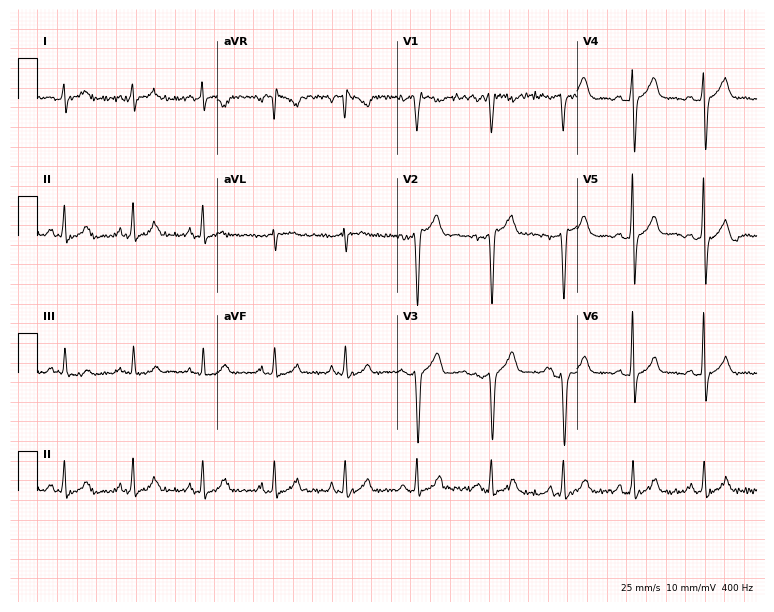
12-lead ECG from a male patient, 38 years old (7.3-second recording at 400 Hz). Recorded interpretation: within normal limits.